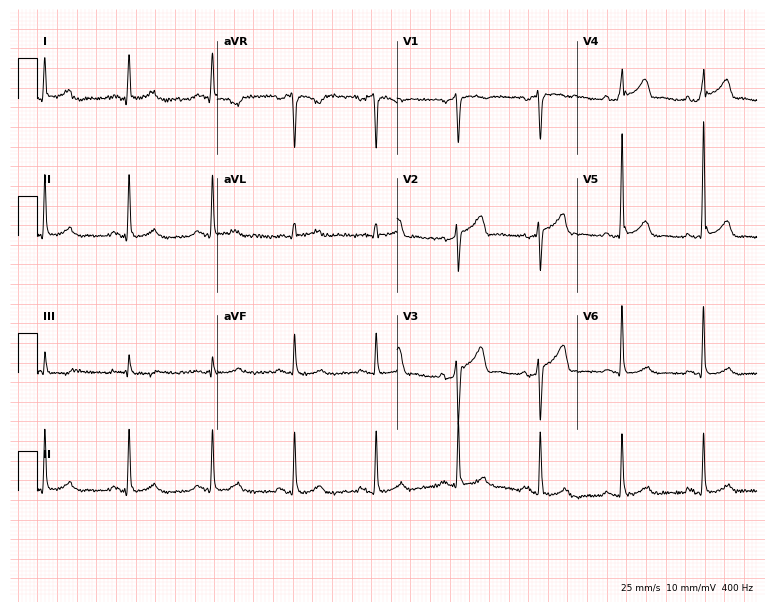
12-lead ECG from a male patient, 54 years old. Screened for six findings — first-degree AV block, right bundle branch block (RBBB), left bundle branch block (LBBB), sinus bradycardia, atrial fibrillation (AF), sinus tachycardia — none is recorded. Only these six findings were labelled.